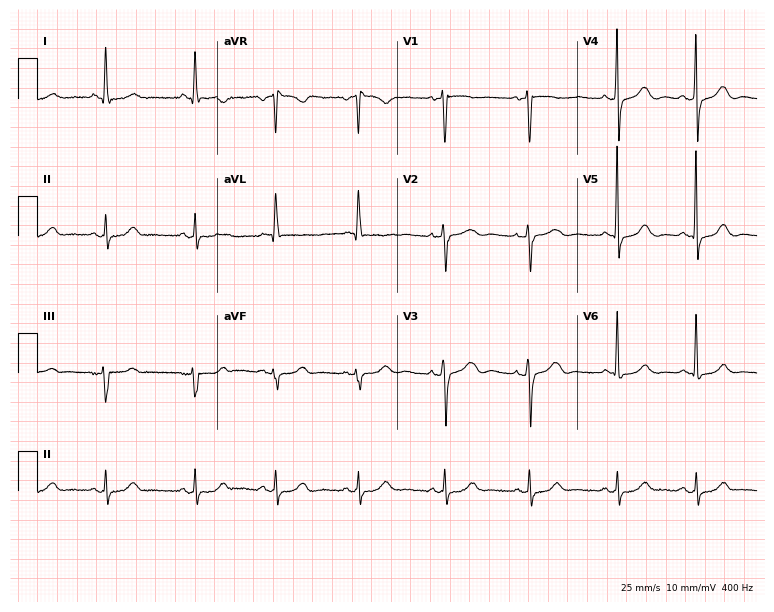
12-lead ECG from a female, 70 years old. No first-degree AV block, right bundle branch block, left bundle branch block, sinus bradycardia, atrial fibrillation or sinus tachycardia recorded for this tracing.